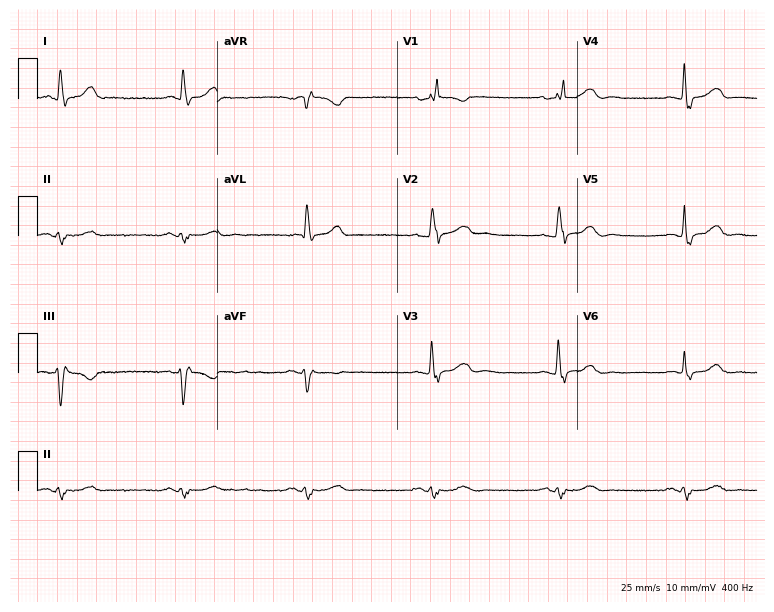
ECG — an 84-year-old man. Screened for six findings — first-degree AV block, right bundle branch block, left bundle branch block, sinus bradycardia, atrial fibrillation, sinus tachycardia — none is recorded.